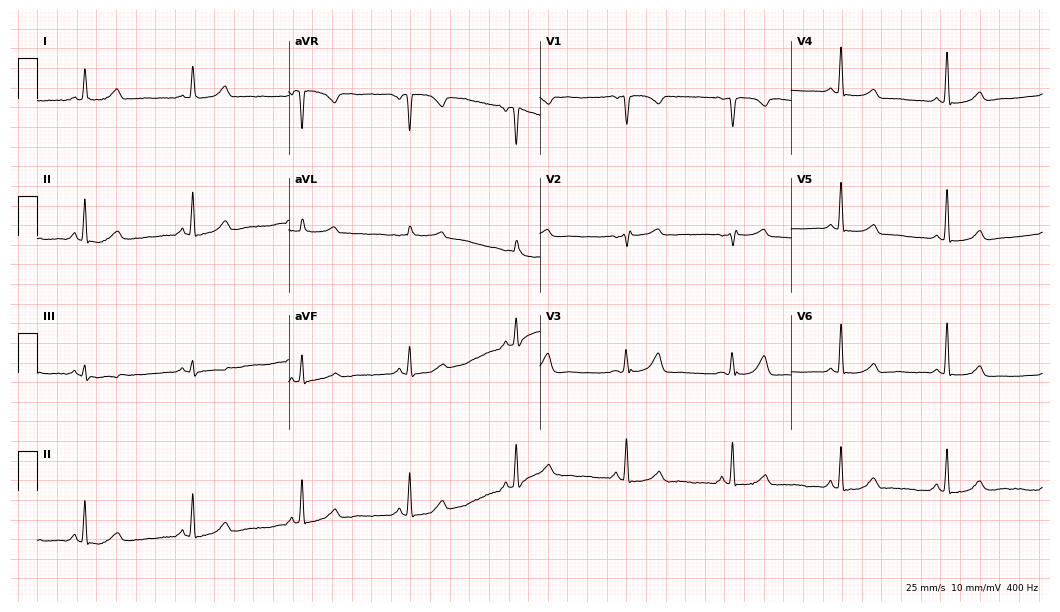
Electrocardiogram (10.2-second recording at 400 Hz), a 64-year-old female patient. Of the six screened findings (first-degree AV block, right bundle branch block, left bundle branch block, sinus bradycardia, atrial fibrillation, sinus tachycardia), none is recorded.